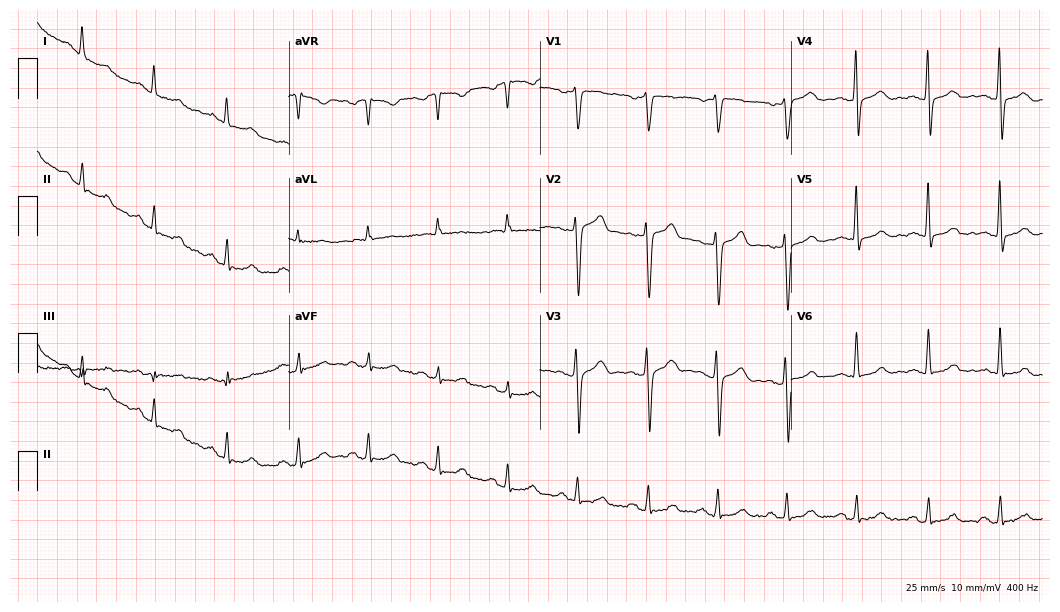
Standard 12-lead ECG recorded from a male, 49 years old (10.2-second recording at 400 Hz). Read as a normal ECG.